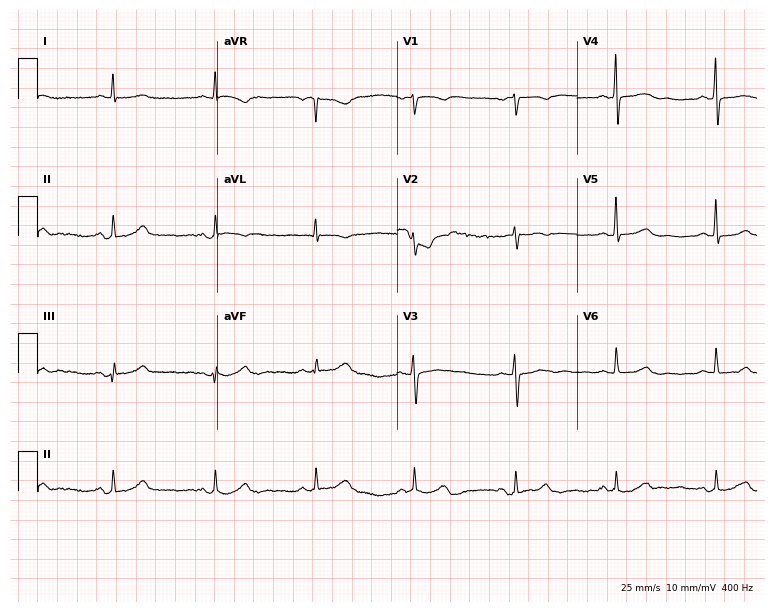
Electrocardiogram, a female, 59 years old. Overall reading on record: normal ECG.